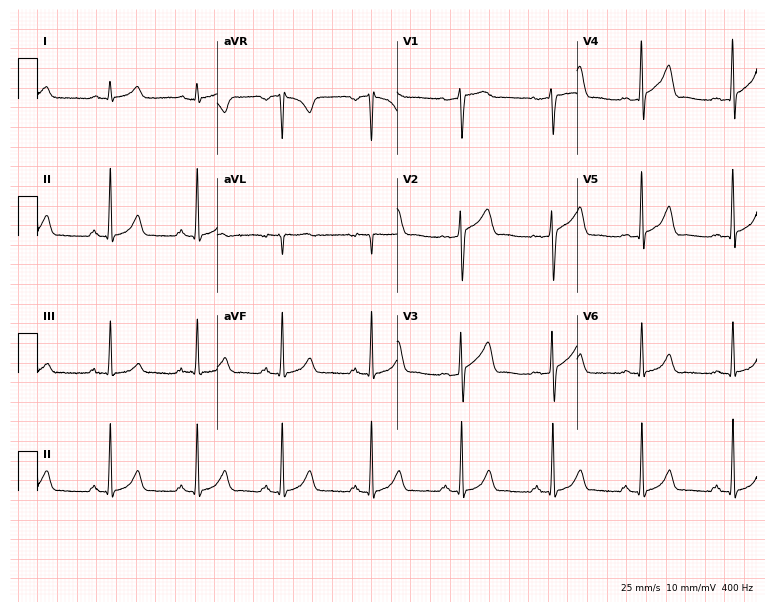
ECG — a 57-year-old man. Screened for six findings — first-degree AV block, right bundle branch block (RBBB), left bundle branch block (LBBB), sinus bradycardia, atrial fibrillation (AF), sinus tachycardia — none is recorded. Only these six findings were labelled.